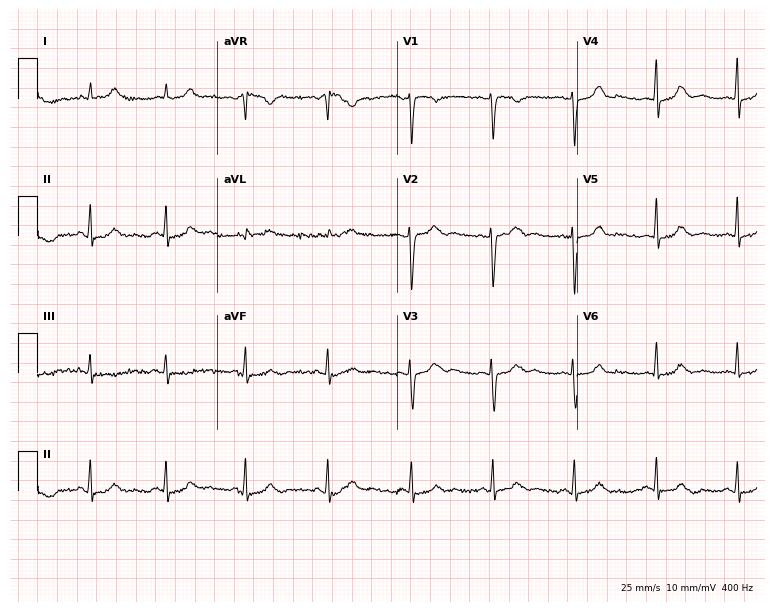
Standard 12-lead ECG recorded from a 50-year-old female. Read as a normal ECG.